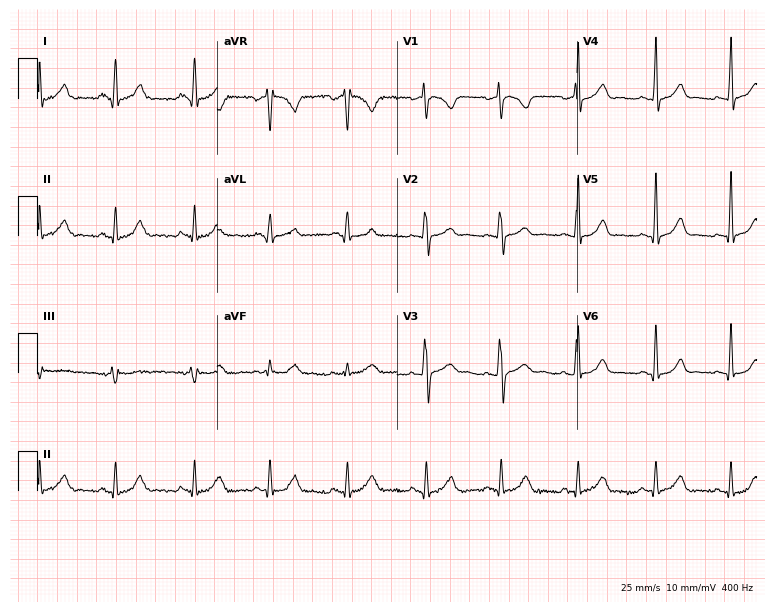
Standard 12-lead ECG recorded from a 26-year-old female patient (7.3-second recording at 400 Hz). Read as a normal ECG.